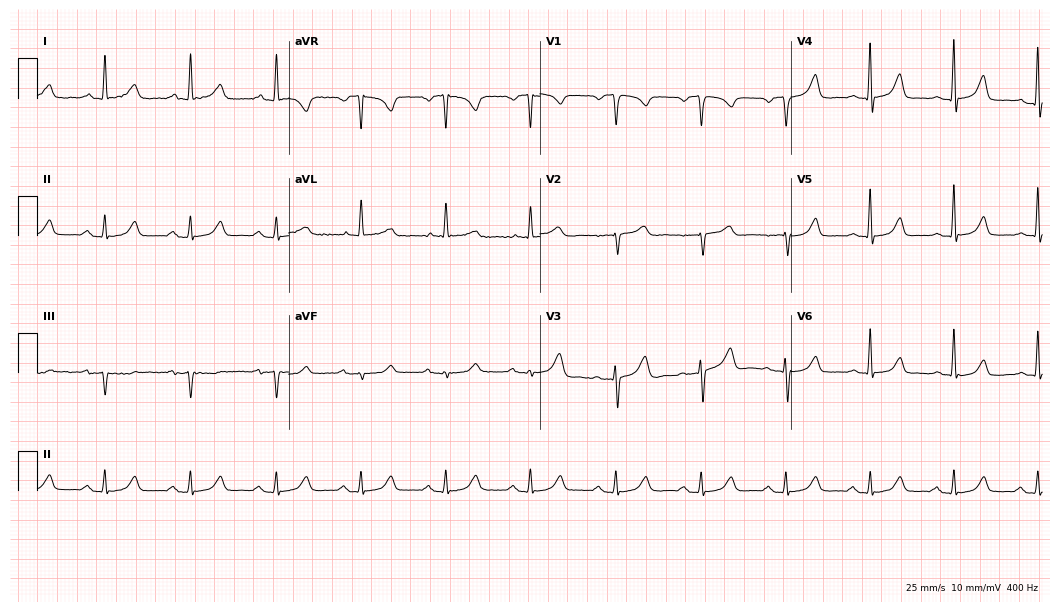
ECG (10.2-second recording at 400 Hz) — a 70-year-old female patient. Labelled as a normal ECG.